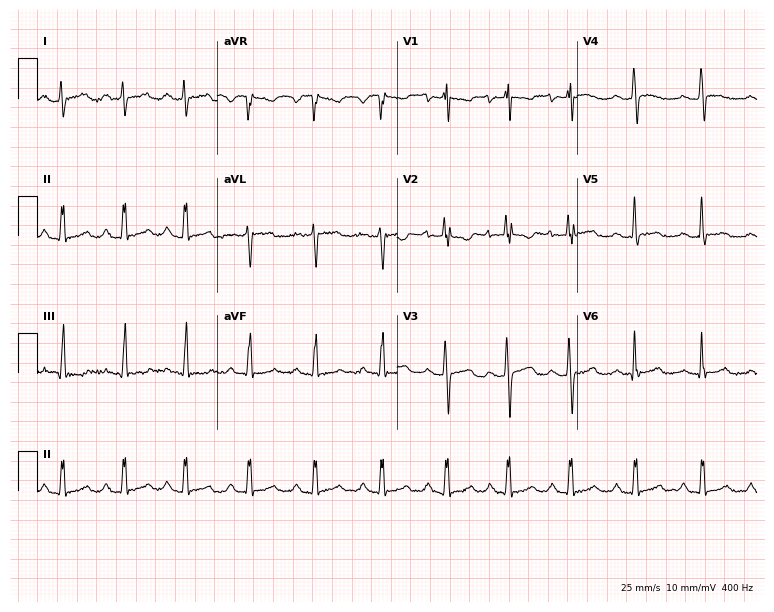
Electrocardiogram, a female, 18 years old. Of the six screened findings (first-degree AV block, right bundle branch block (RBBB), left bundle branch block (LBBB), sinus bradycardia, atrial fibrillation (AF), sinus tachycardia), none is recorded.